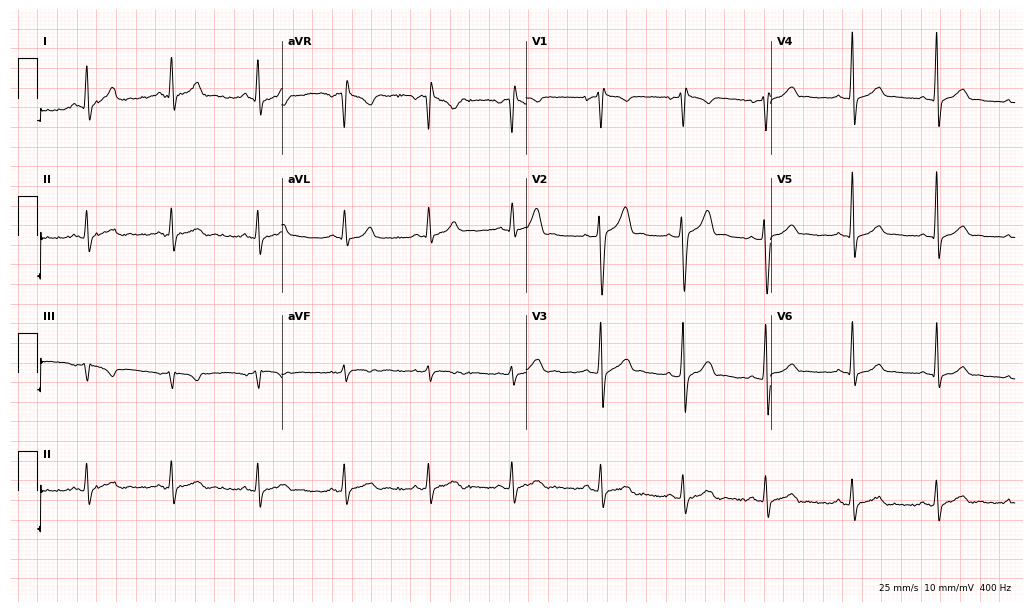
12-lead ECG from a 42-year-old man. Recorded interpretation: within normal limits.